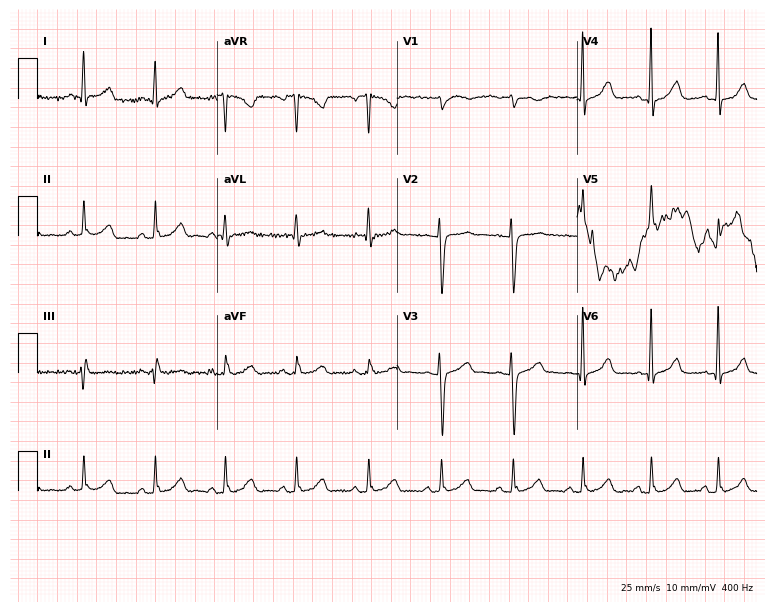
Resting 12-lead electrocardiogram. Patient: a 35-year-old woman. Read as a normal ECG.